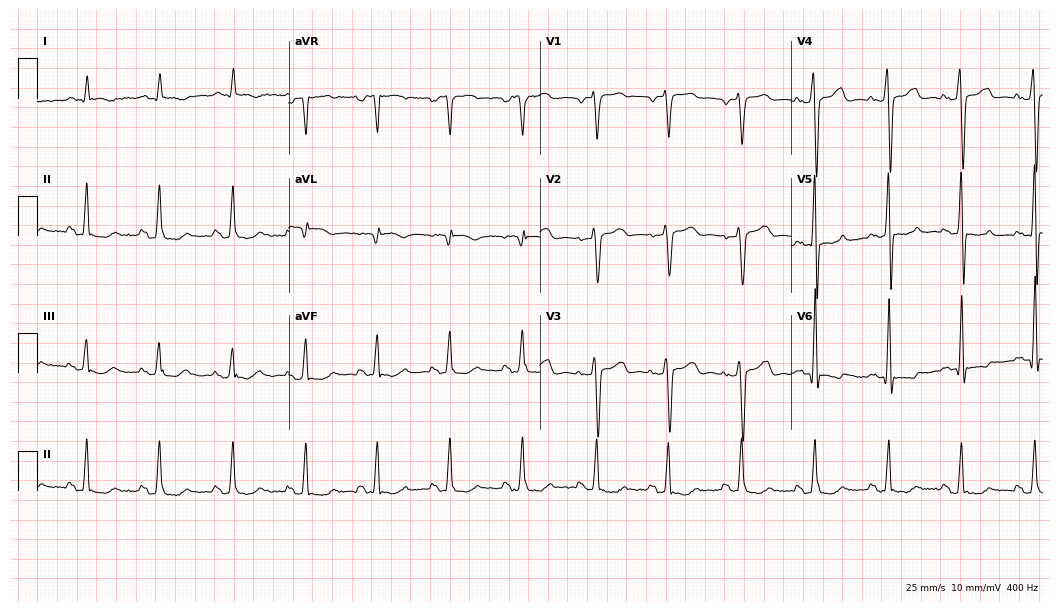
Resting 12-lead electrocardiogram. Patient: a 62-year-old man. None of these six findings is recorded: first-degree AV block, right bundle branch block (RBBB), left bundle branch block (LBBB), sinus bradycardia, atrial fibrillation (AF), sinus tachycardia. Only these six findings were labelled.